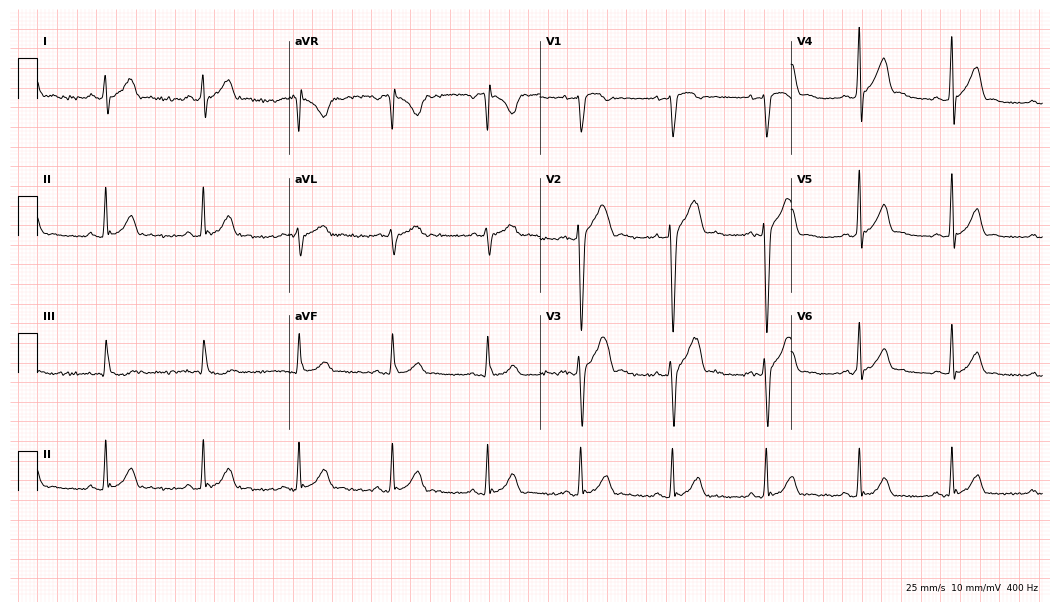
12-lead ECG (10.2-second recording at 400 Hz) from a male, 19 years old. Labelled as a normal ECG.